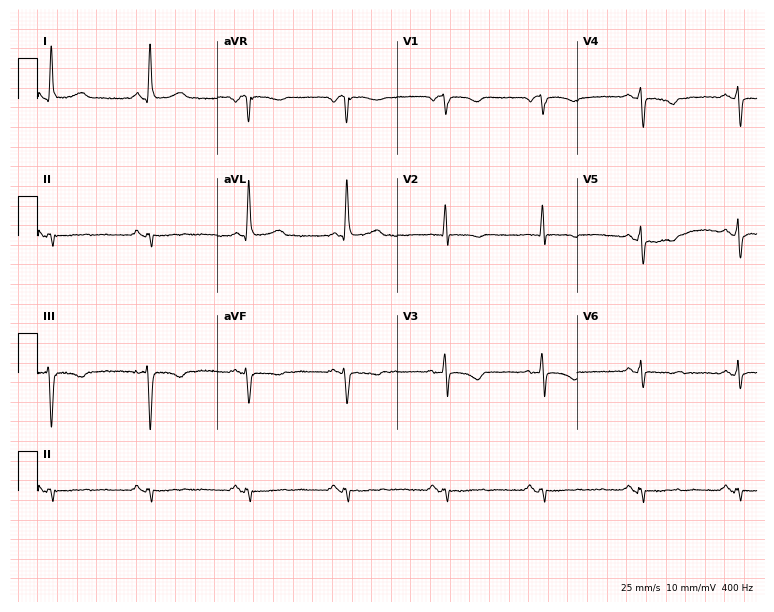
Resting 12-lead electrocardiogram. Patient: an 80-year-old female. None of these six findings is recorded: first-degree AV block, right bundle branch block, left bundle branch block, sinus bradycardia, atrial fibrillation, sinus tachycardia. Only these six findings were labelled.